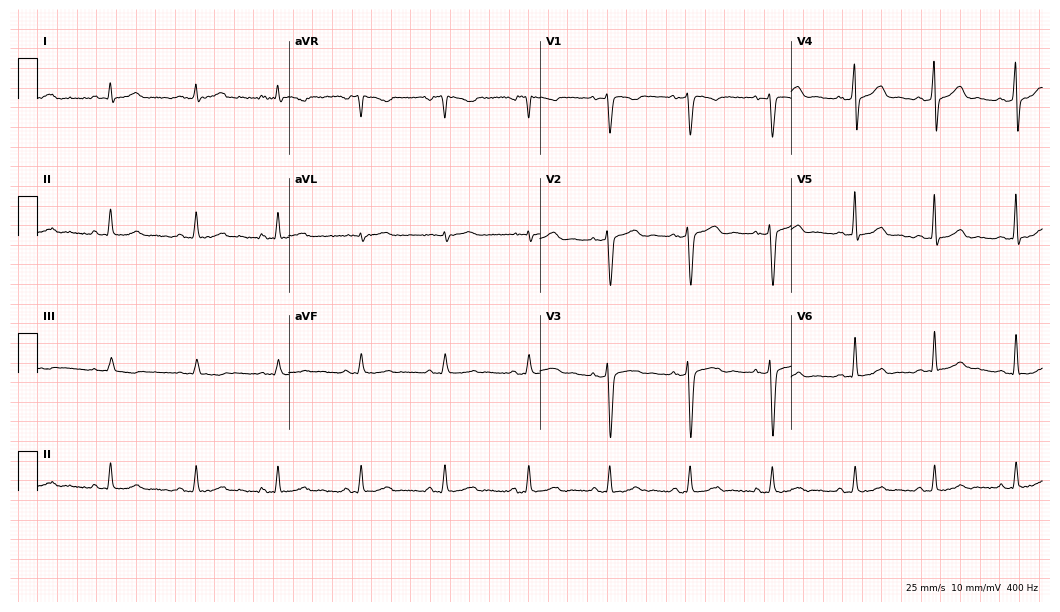
ECG — a woman, 31 years old. Labelled as a normal ECG.